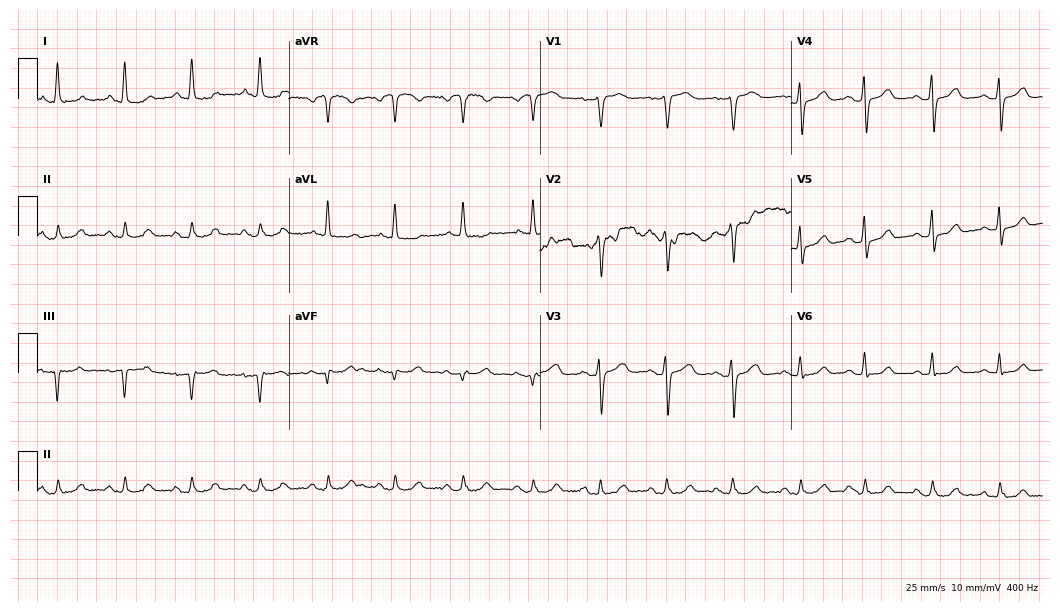
ECG — a 69-year-old female. Labelled as a normal ECG.